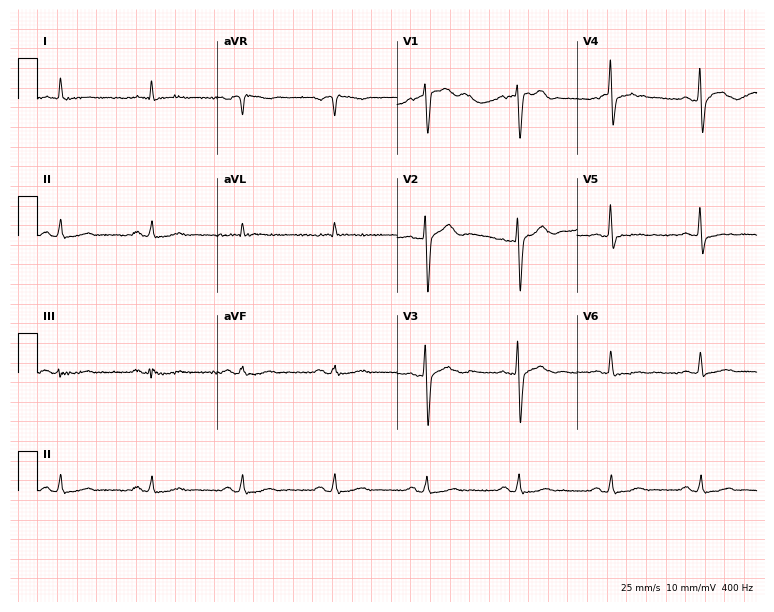
Electrocardiogram (7.3-second recording at 400 Hz), a 74-year-old male patient. Overall reading on record: normal ECG.